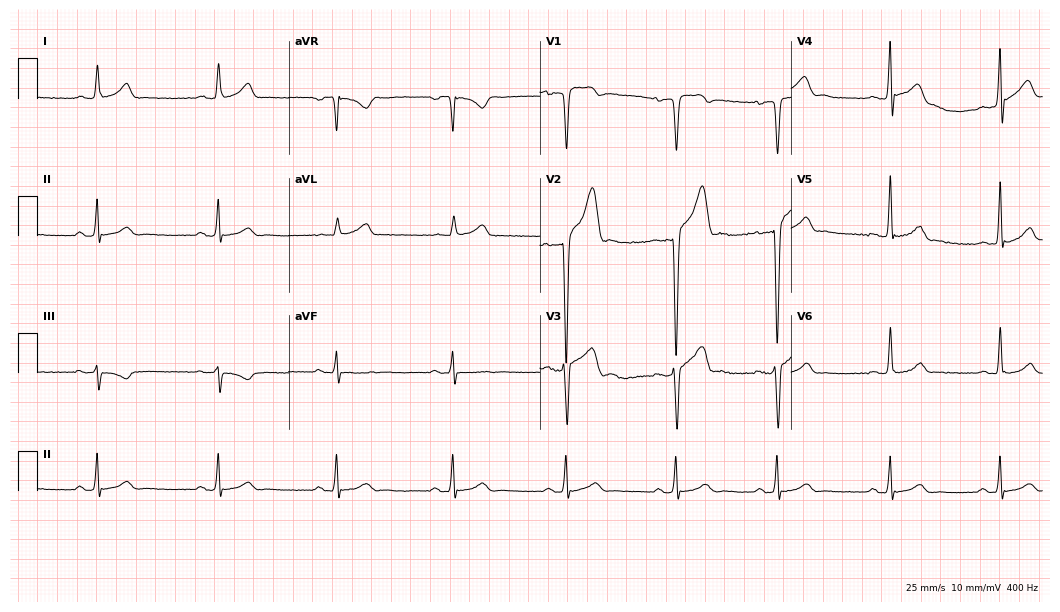
Resting 12-lead electrocardiogram (10.2-second recording at 400 Hz). Patient: a man, 21 years old. None of these six findings is recorded: first-degree AV block, right bundle branch block, left bundle branch block, sinus bradycardia, atrial fibrillation, sinus tachycardia. Other findings, if any, are not listed.